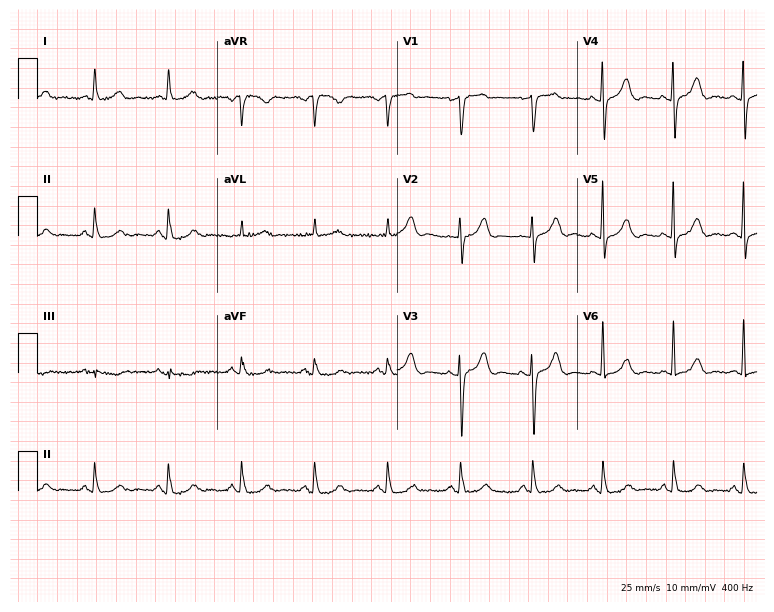
Resting 12-lead electrocardiogram. Patient: a 63-year-old female. Read as a normal ECG.